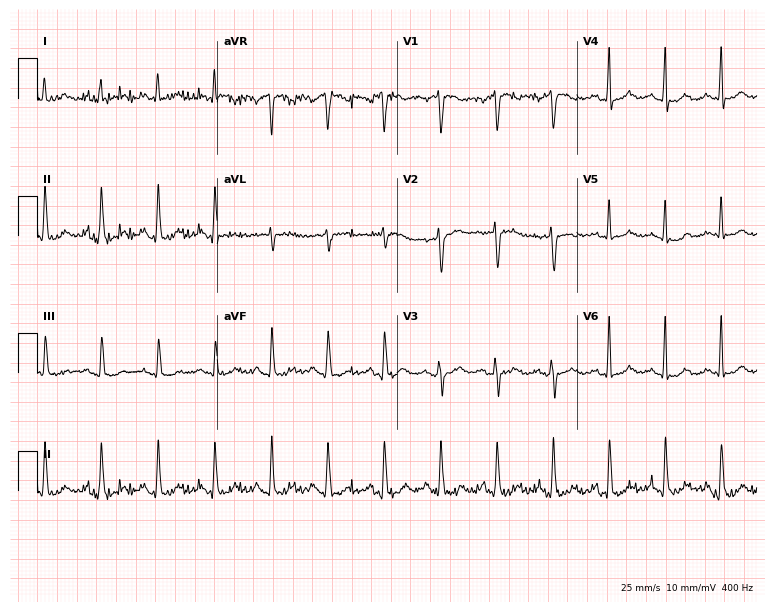
12-lead ECG from a female patient, 71 years old. Shows sinus tachycardia (a sinus rate of 100 beats per minute or more).